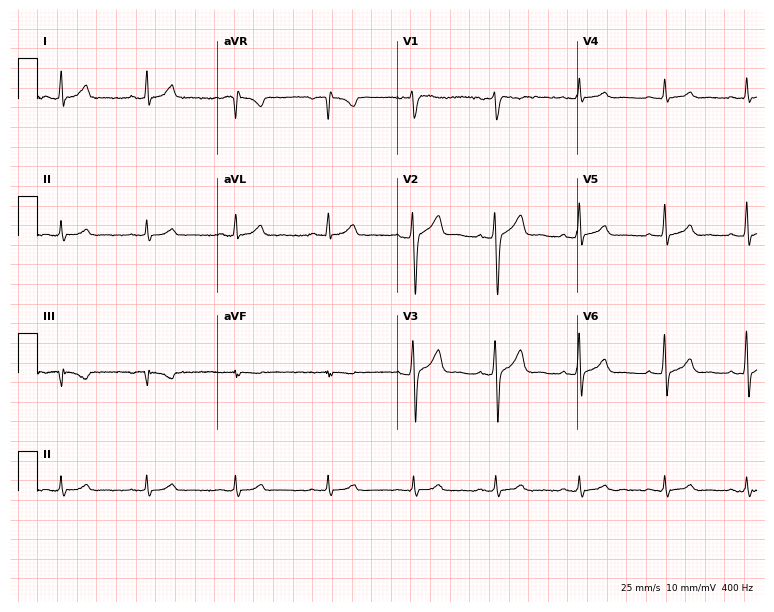
ECG — a 38-year-old male patient. Labelled as a normal ECG.